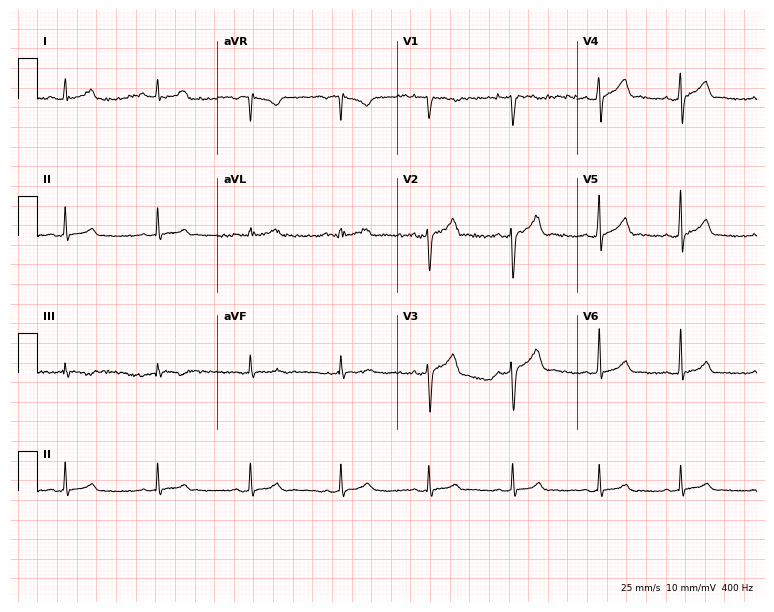
Electrocardiogram (7.3-second recording at 400 Hz), a man, 26 years old. Overall reading on record: normal ECG.